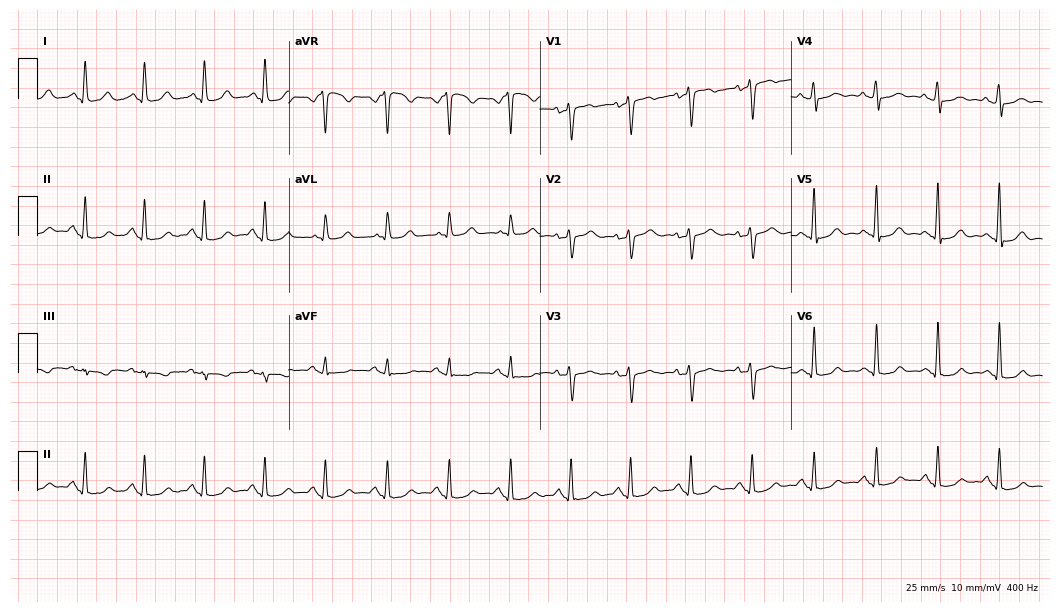
12-lead ECG from a female patient, 65 years old. No first-degree AV block, right bundle branch block (RBBB), left bundle branch block (LBBB), sinus bradycardia, atrial fibrillation (AF) or sinus tachycardia recorded for this tracing. Only these six findings were labelled.